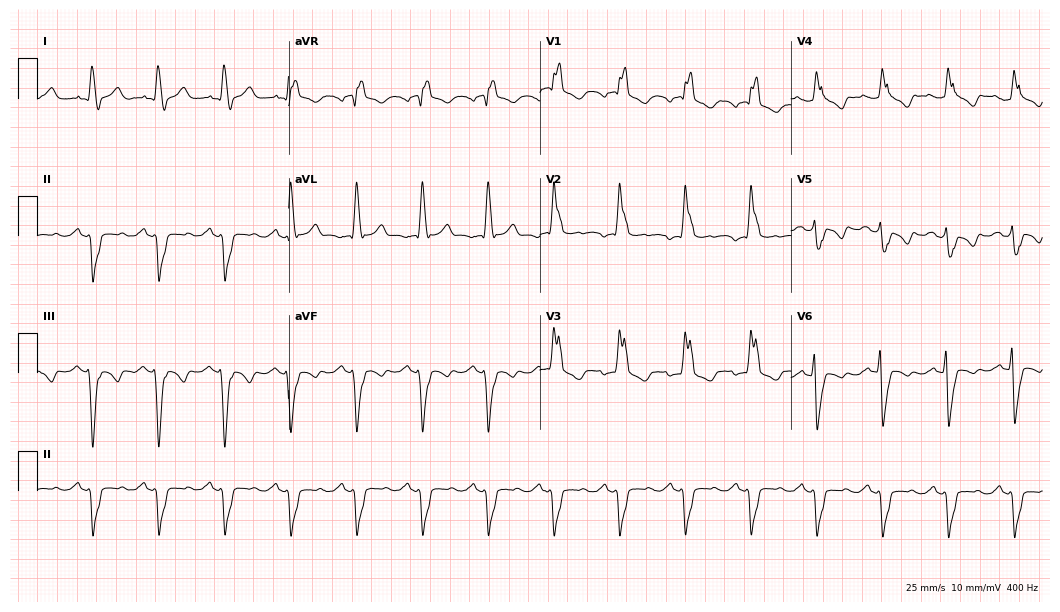
Electrocardiogram, a 61-year-old man. Of the six screened findings (first-degree AV block, right bundle branch block, left bundle branch block, sinus bradycardia, atrial fibrillation, sinus tachycardia), none is recorded.